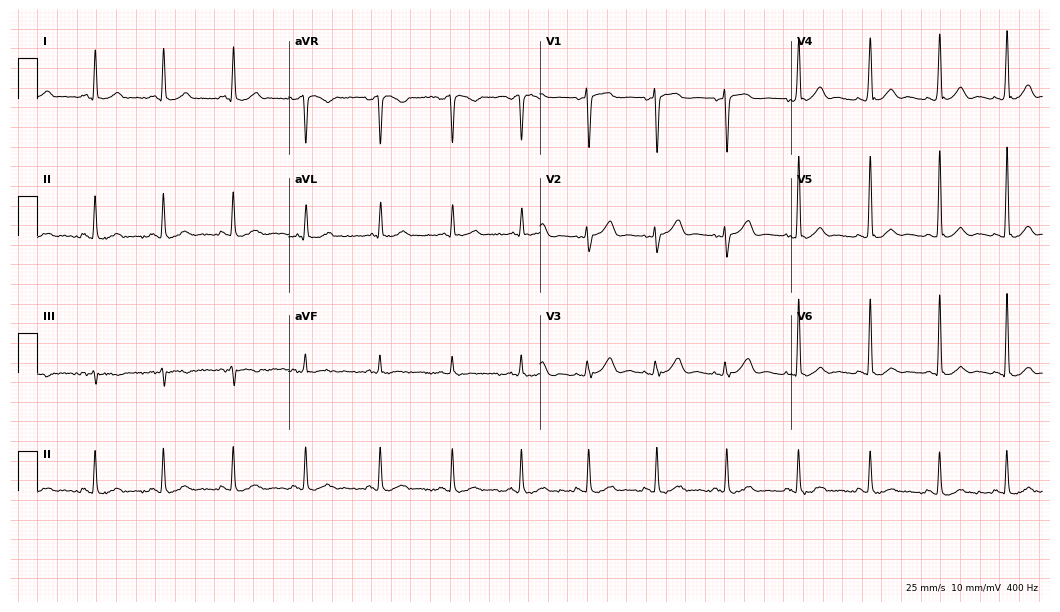
ECG (10.2-second recording at 400 Hz) — a female patient, 48 years old. Labelled as a normal ECG.